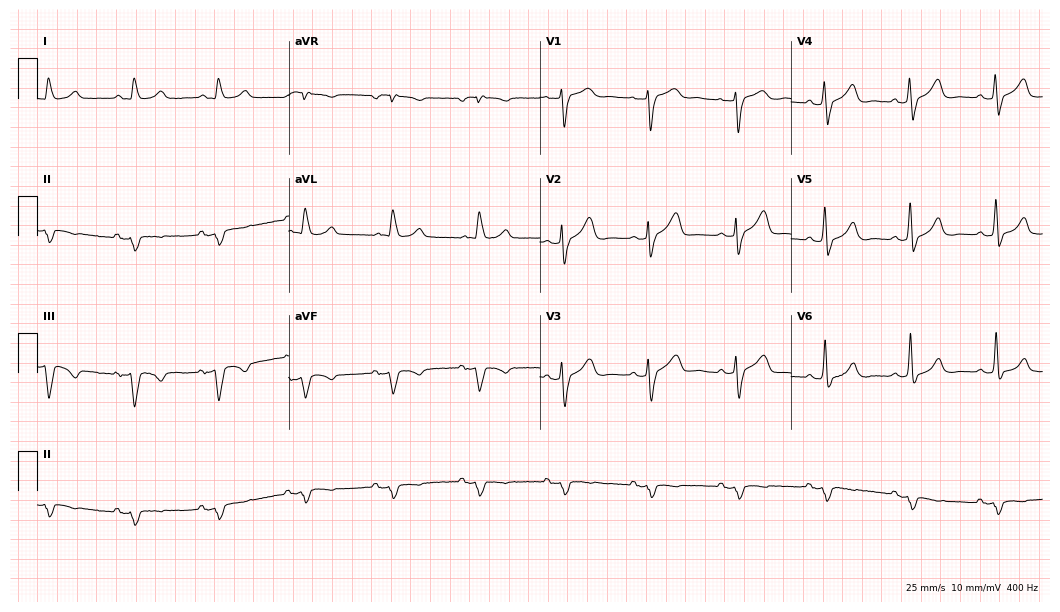
Electrocardiogram, a 74-year-old man. Of the six screened findings (first-degree AV block, right bundle branch block, left bundle branch block, sinus bradycardia, atrial fibrillation, sinus tachycardia), none is recorded.